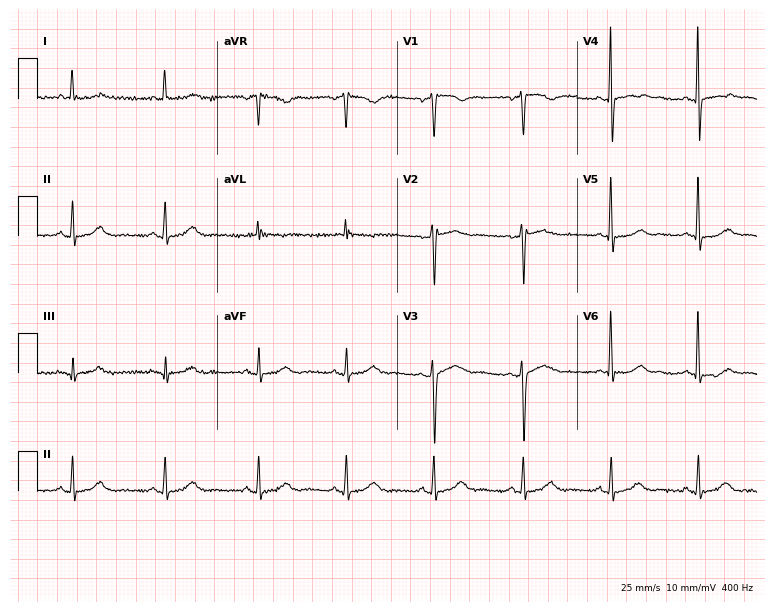
12-lead ECG (7.3-second recording at 400 Hz) from a 52-year-old female patient. Labelled as a normal ECG.